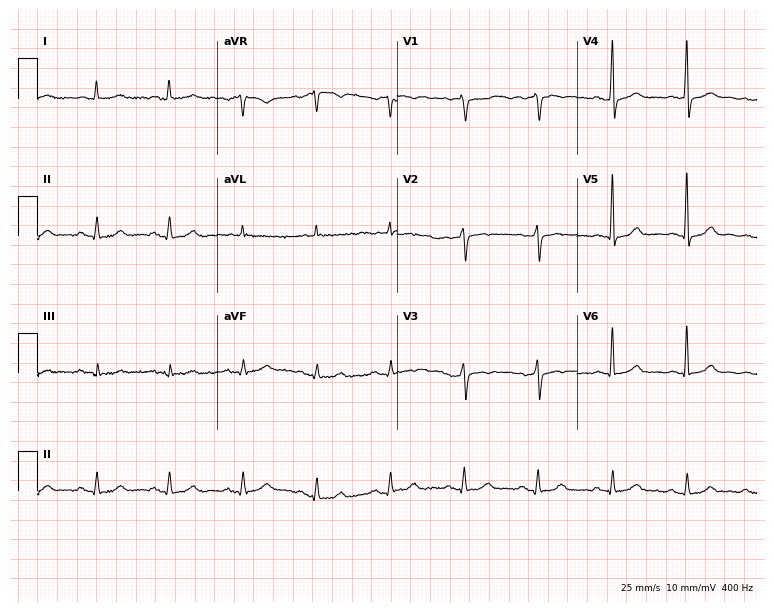
Standard 12-lead ECG recorded from a man, 69 years old. Read as a normal ECG.